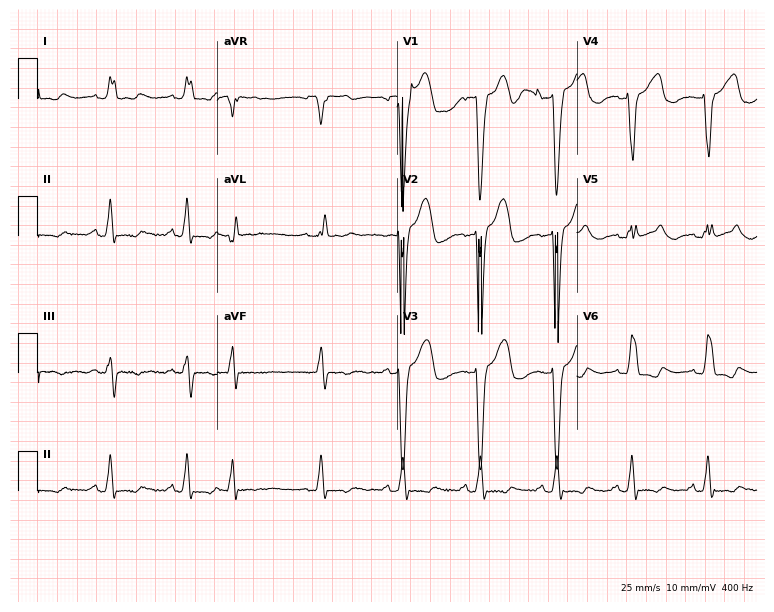
12-lead ECG from a 79-year-old female. No first-degree AV block, right bundle branch block (RBBB), left bundle branch block (LBBB), sinus bradycardia, atrial fibrillation (AF) or sinus tachycardia recorded for this tracing. Only these six findings were labelled.